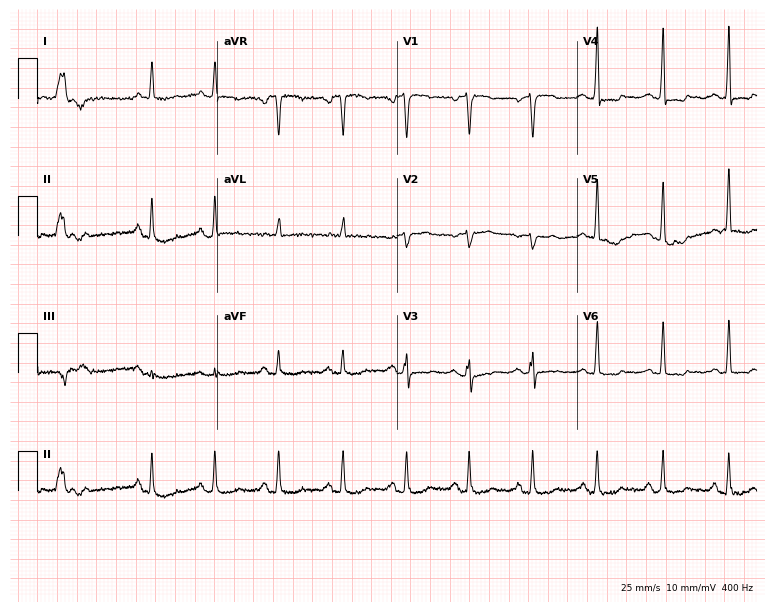
Standard 12-lead ECG recorded from a 59-year-old female patient (7.3-second recording at 400 Hz). None of these six findings is recorded: first-degree AV block, right bundle branch block, left bundle branch block, sinus bradycardia, atrial fibrillation, sinus tachycardia.